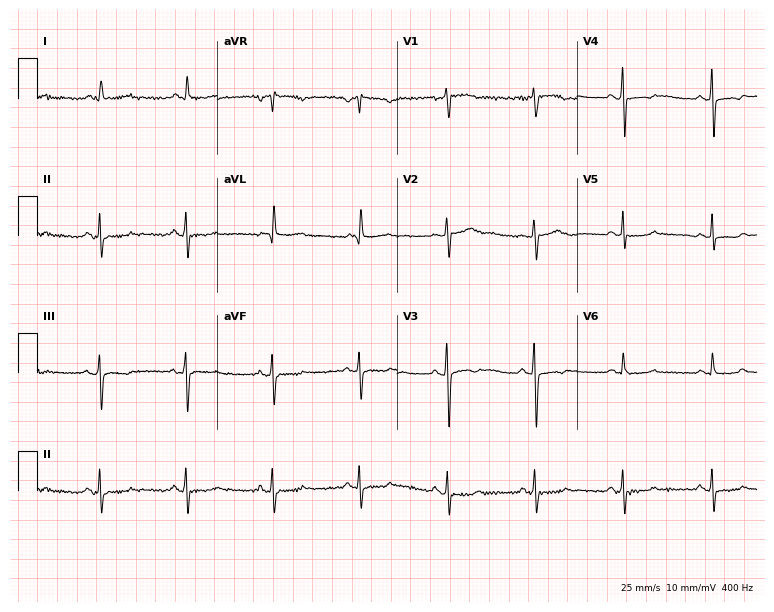
12-lead ECG from a female, 71 years old. Screened for six findings — first-degree AV block, right bundle branch block, left bundle branch block, sinus bradycardia, atrial fibrillation, sinus tachycardia — none is recorded. Other findings, if any, are not listed.